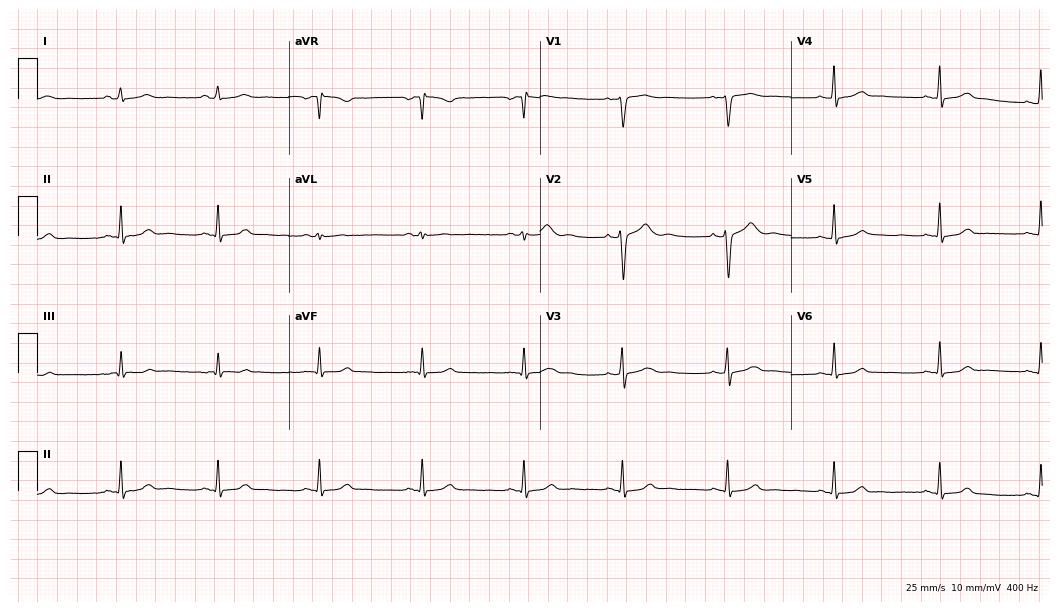
12-lead ECG from a female, 36 years old. No first-degree AV block, right bundle branch block, left bundle branch block, sinus bradycardia, atrial fibrillation or sinus tachycardia recorded for this tracing.